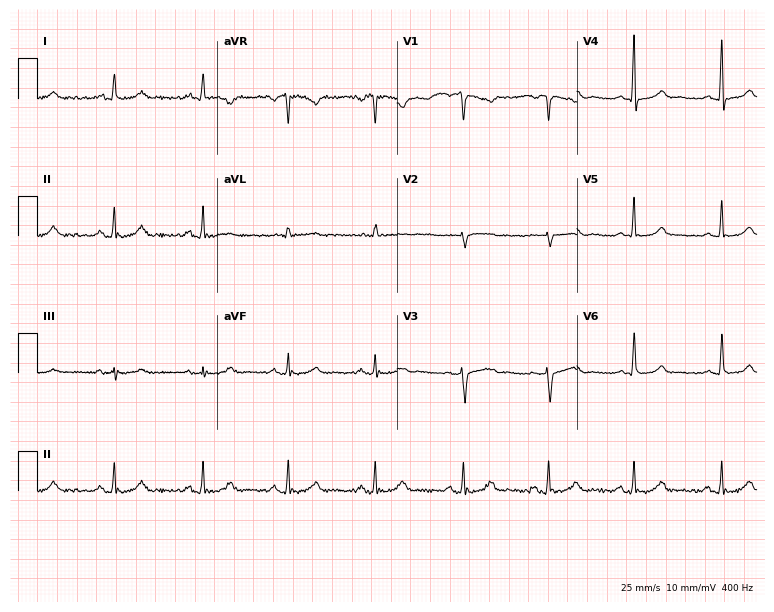
12-lead ECG from a female, 50 years old (7.3-second recording at 400 Hz). Recorded interpretation: within normal limits.